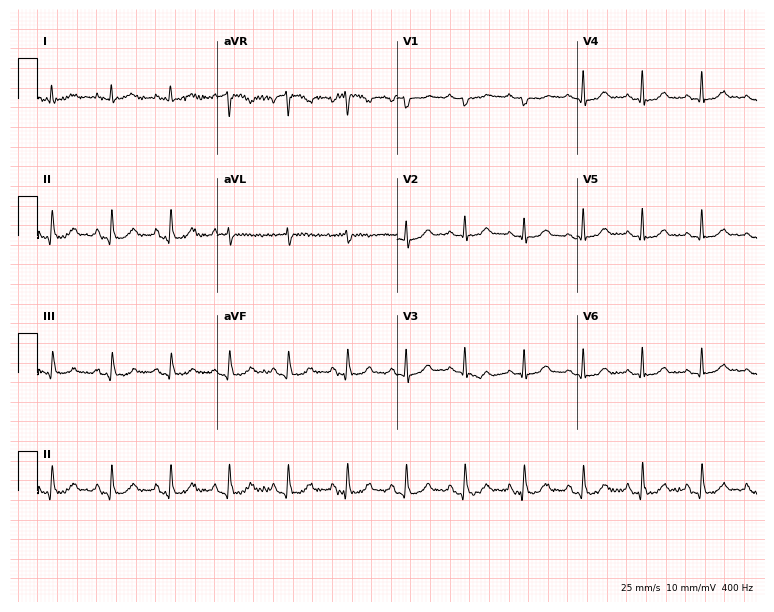
Standard 12-lead ECG recorded from a female, 75 years old (7.3-second recording at 400 Hz). Read as a normal ECG.